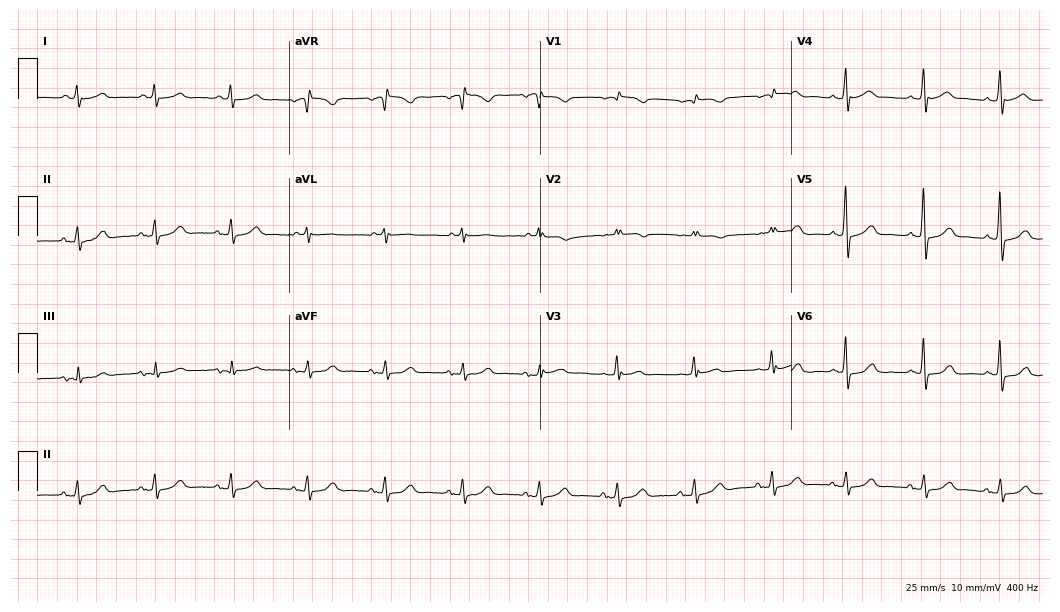
12-lead ECG (10.2-second recording at 400 Hz) from a 73-year-old male patient. Screened for six findings — first-degree AV block, right bundle branch block, left bundle branch block, sinus bradycardia, atrial fibrillation, sinus tachycardia — none is recorded.